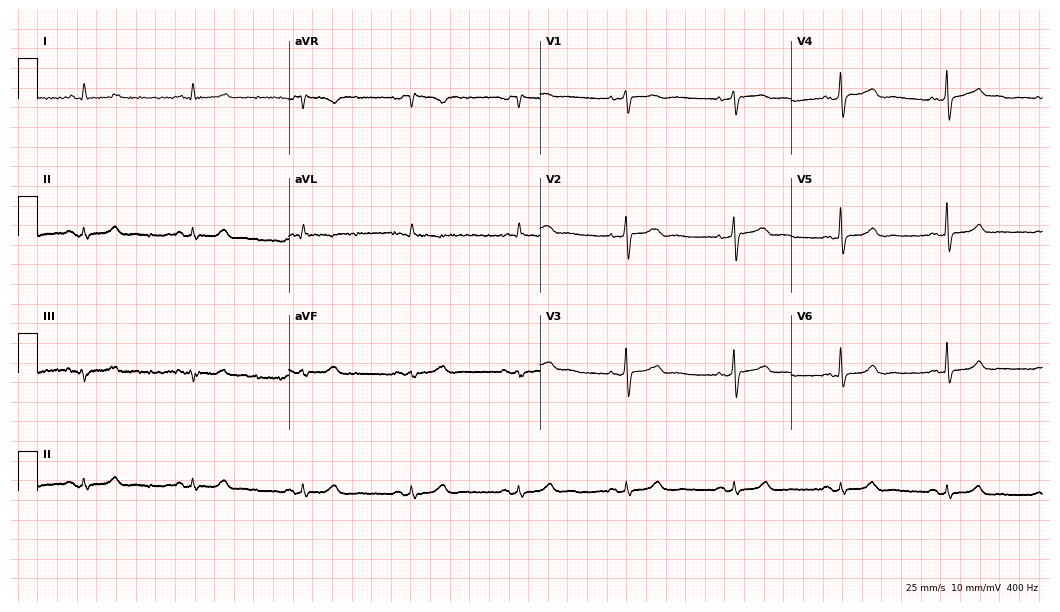
ECG — a woman, 62 years old. Labelled as a normal ECG.